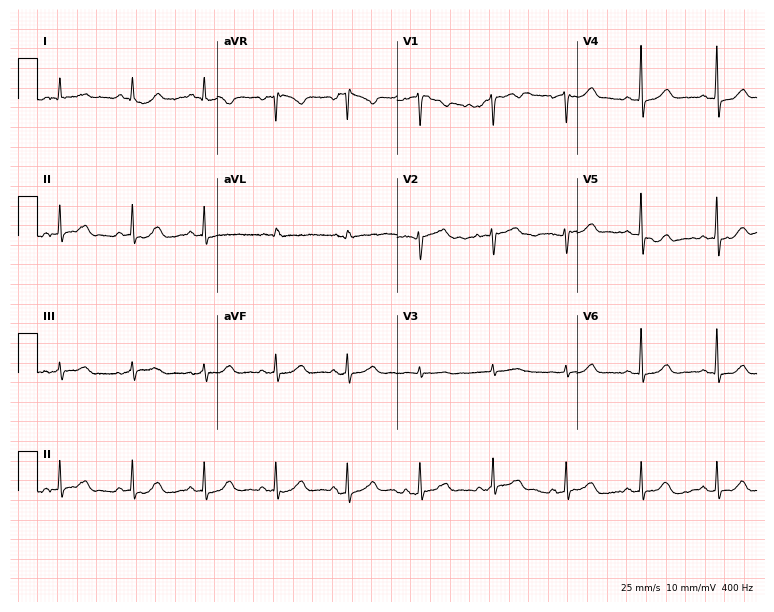
Resting 12-lead electrocardiogram. Patient: a 41-year-old female. None of these six findings is recorded: first-degree AV block, right bundle branch block, left bundle branch block, sinus bradycardia, atrial fibrillation, sinus tachycardia. Only these six findings were labelled.